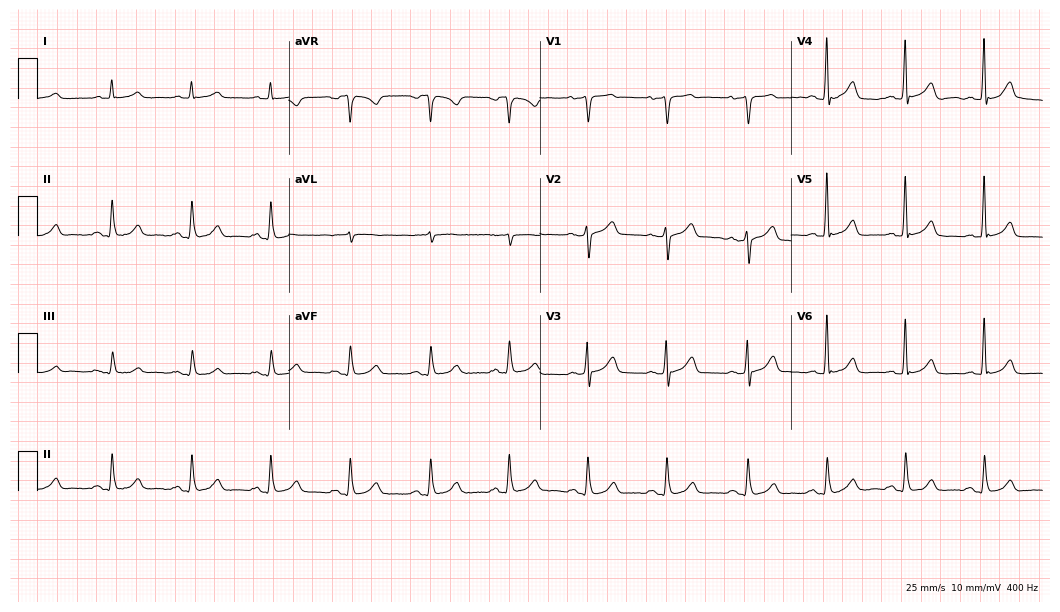
12-lead ECG from a 72-year-old male. Labelled as a normal ECG.